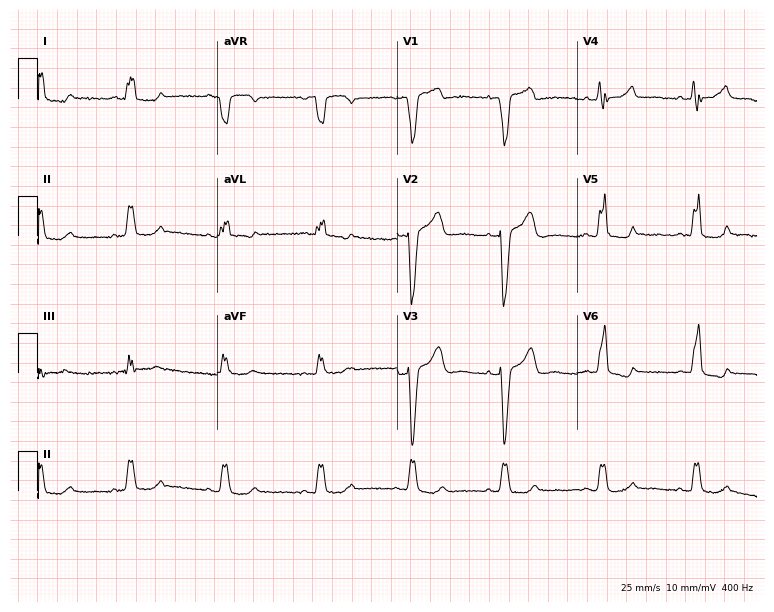
Resting 12-lead electrocardiogram. Patient: a woman, 73 years old. The tracing shows left bundle branch block (LBBB).